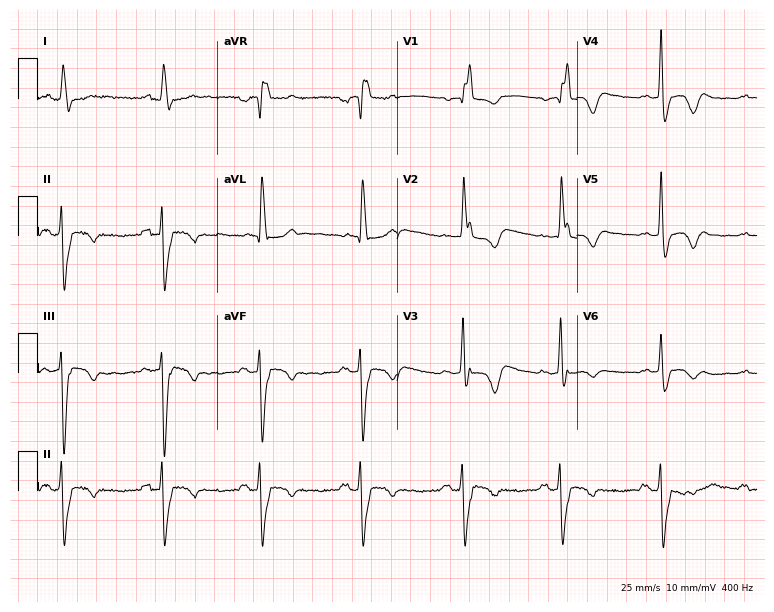
12-lead ECG from a female patient, 75 years old. Shows right bundle branch block.